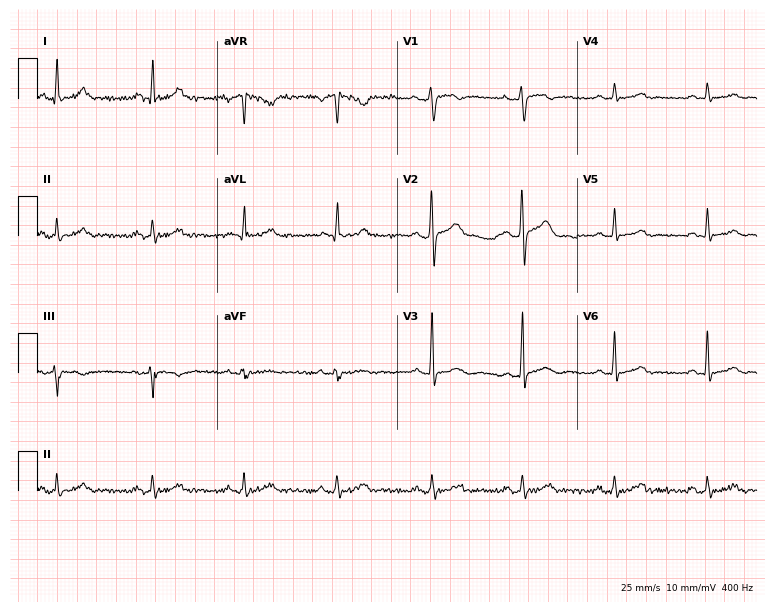
12-lead ECG from a 47-year-old male patient. Labelled as a normal ECG.